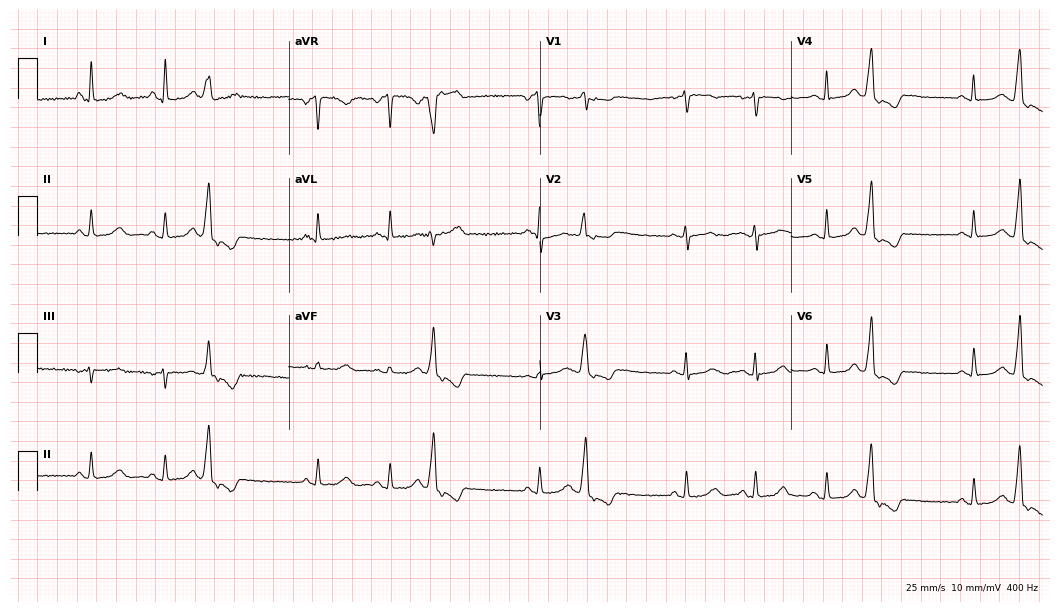
12-lead ECG from a woman, 51 years old. Screened for six findings — first-degree AV block, right bundle branch block, left bundle branch block, sinus bradycardia, atrial fibrillation, sinus tachycardia — none is recorded. Findings outside these six are not listed.